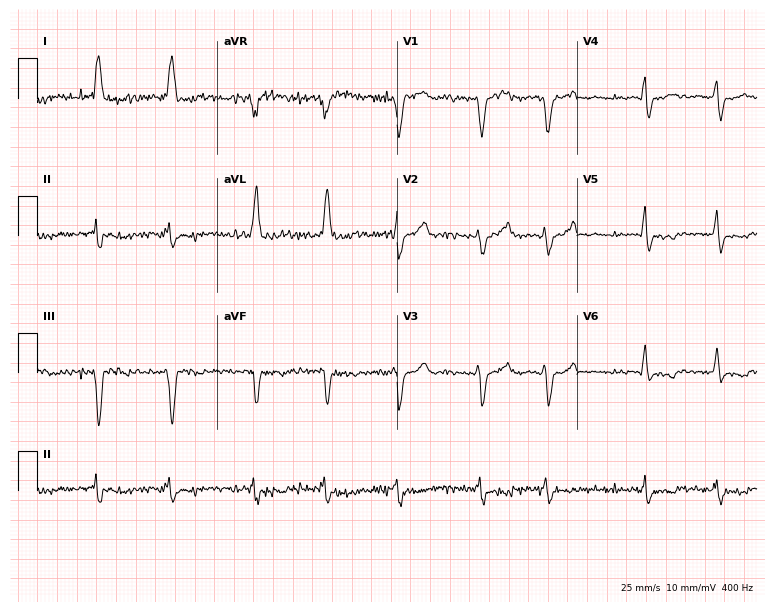
12-lead ECG from a male patient, 75 years old. Shows left bundle branch block, atrial fibrillation.